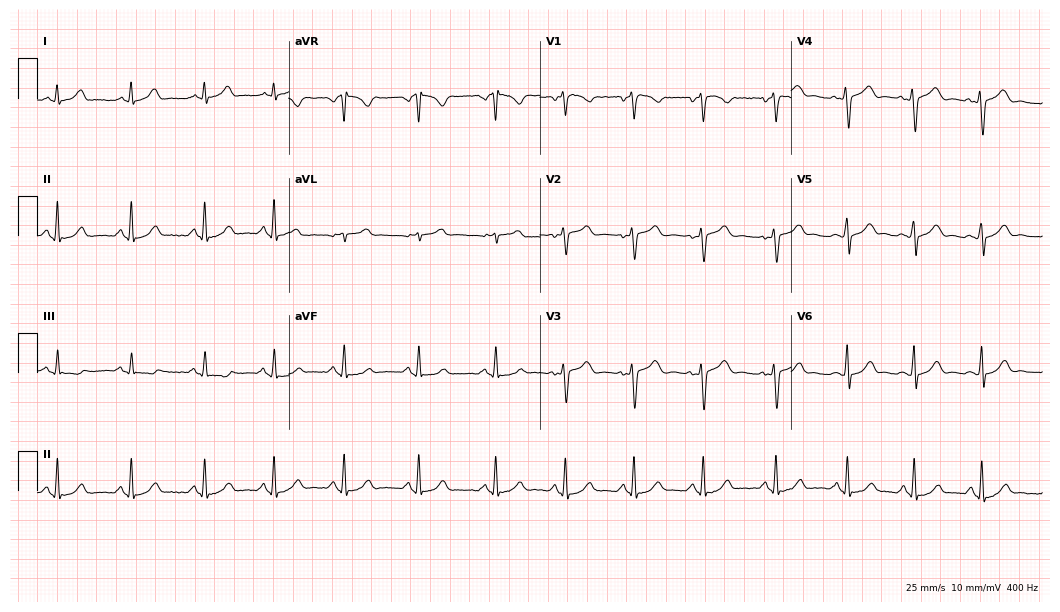
Standard 12-lead ECG recorded from a 36-year-old woman. Read as a normal ECG.